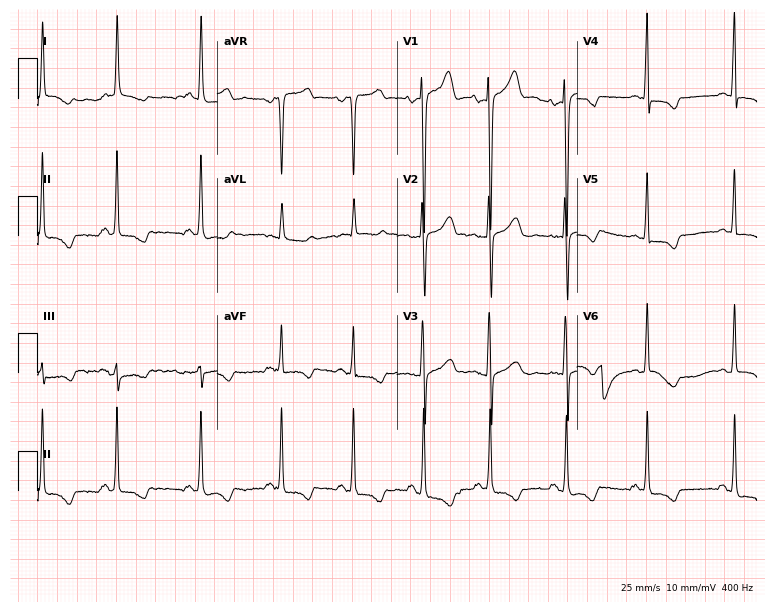
12-lead ECG from a female patient, 46 years old (7.3-second recording at 400 Hz). No first-degree AV block, right bundle branch block (RBBB), left bundle branch block (LBBB), sinus bradycardia, atrial fibrillation (AF) or sinus tachycardia recorded for this tracing. Other findings, if any, are not listed.